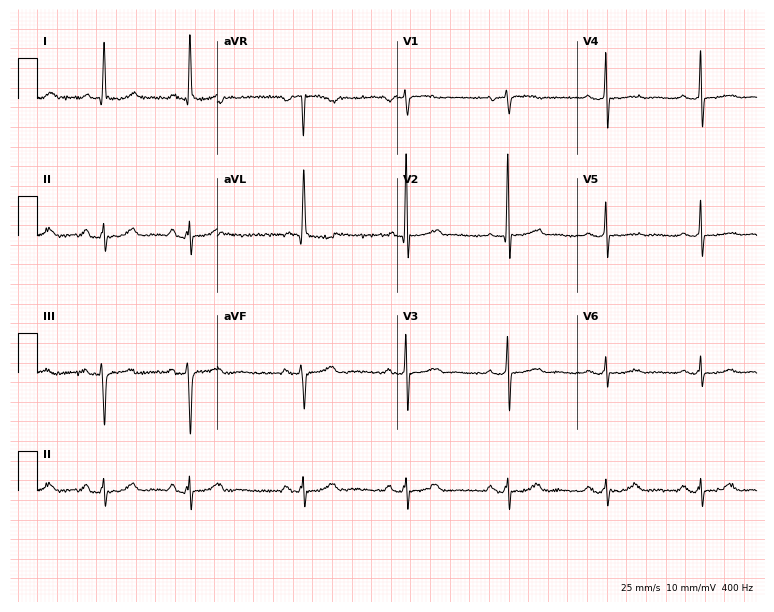
Resting 12-lead electrocardiogram (7.3-second recording at 400 Hz). Patient: a 65-year-old woman. None of these six findings is recorded: first-degree AV block, right bundle branch block, left bundle branch block, sinus bradycardia, atrial fibrillation, sinus tachycardia.